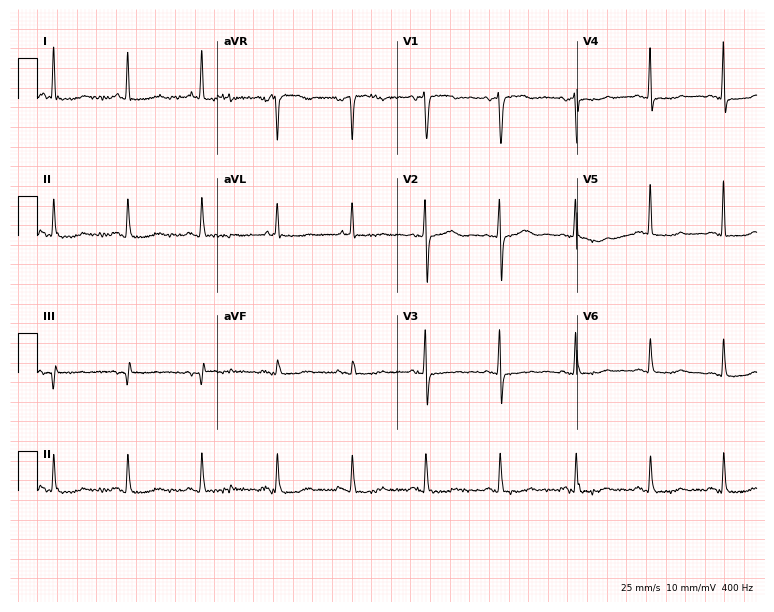
12-lead ECG from a female, 66 years old. Screened for six findings — first-degree AV block, right bundle branch block (RBBB), left bundle branch block (LBBB), sinus bradycardia, atrial fibrillation (AF), sinus tachycardia — none is recorded.